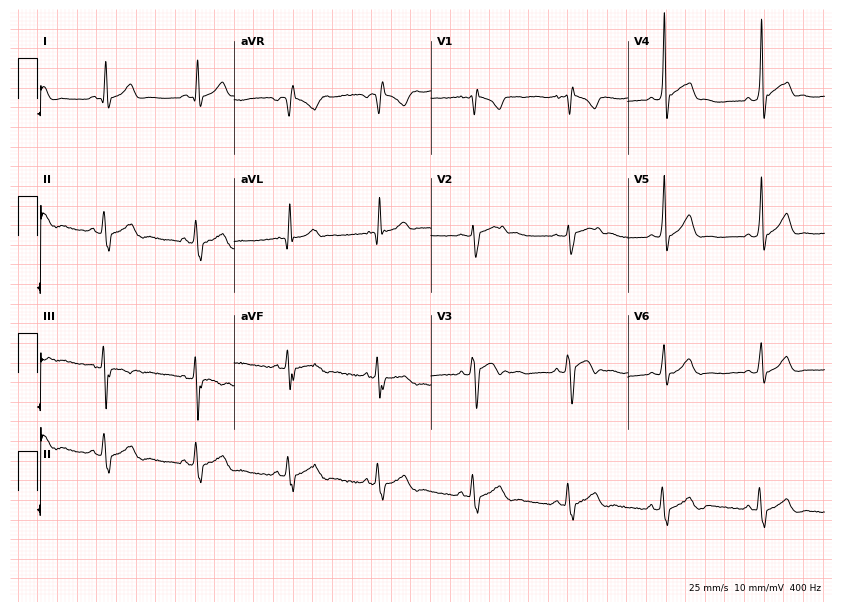
Resting 12-lead electrocardiogram. Patient: a male, 17 years old. None of these six findings is recorded: first-degree AV block, right bundle branch block, left bundle branch block, sinus bradycardia, atrial fibrillation, sinus tachycardia. Only these six findings were labelled.